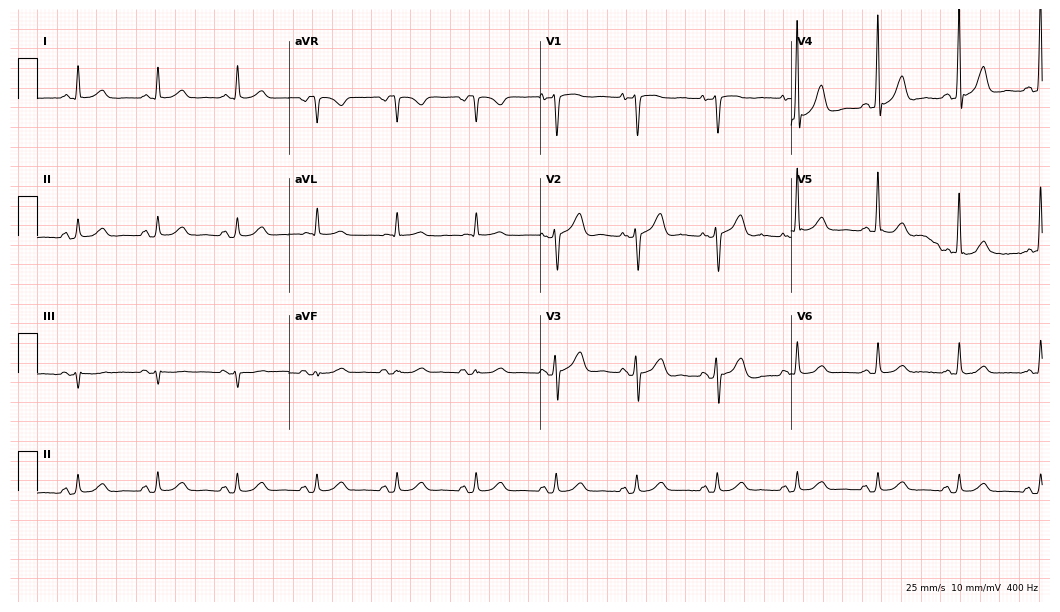
ECG (10.2-second recording at 400 Hz) — a 74-year-old man. Labelled as a normal ECG.